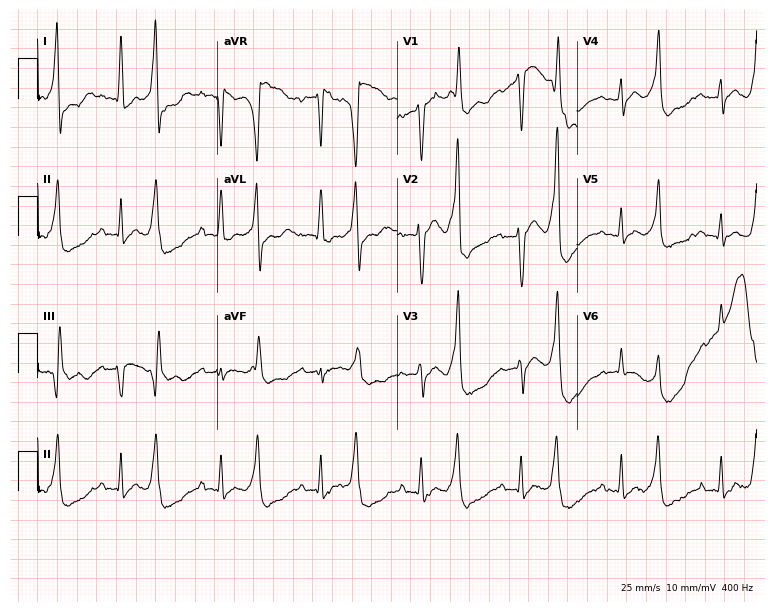
ECG — a female, 44 years old. Screened for six findings — first-degree AV block, right bundle branch block, left bundle branch block, sinus bradycardia, atrial fibrillation, sinus tachycardia — none is recorded. Findings outside these six are not listed.